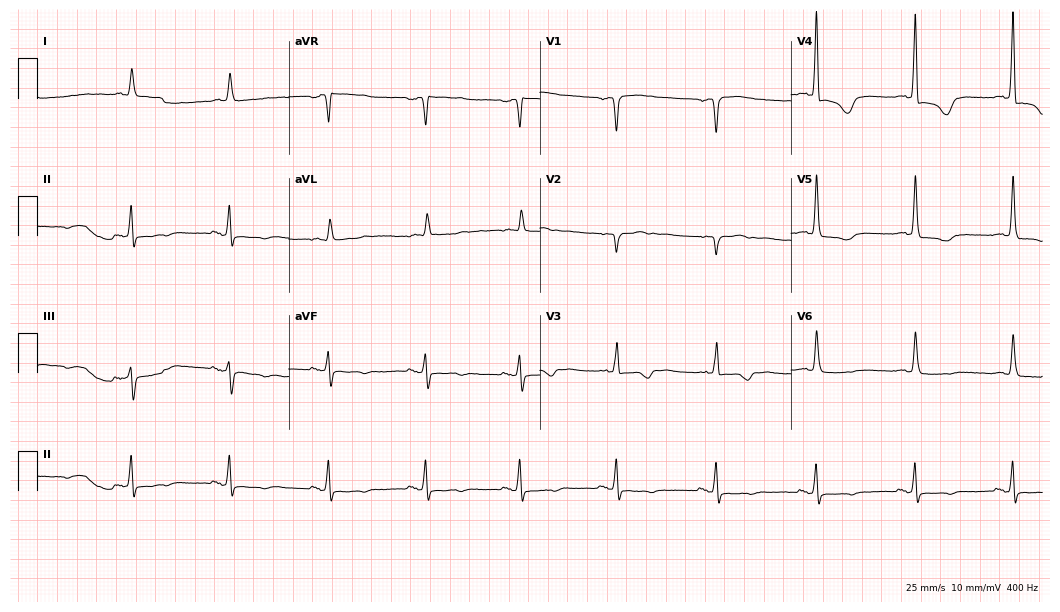
Electrocardiogram (10.2-second recording at 400 Hz), a 65-year-old female. Of the six screened findings (first-degree AV block, right bundle branch block, left bundle branch block, sinus bradycardia, atrial fibrillation, sinus tachycardia), none is recorded.